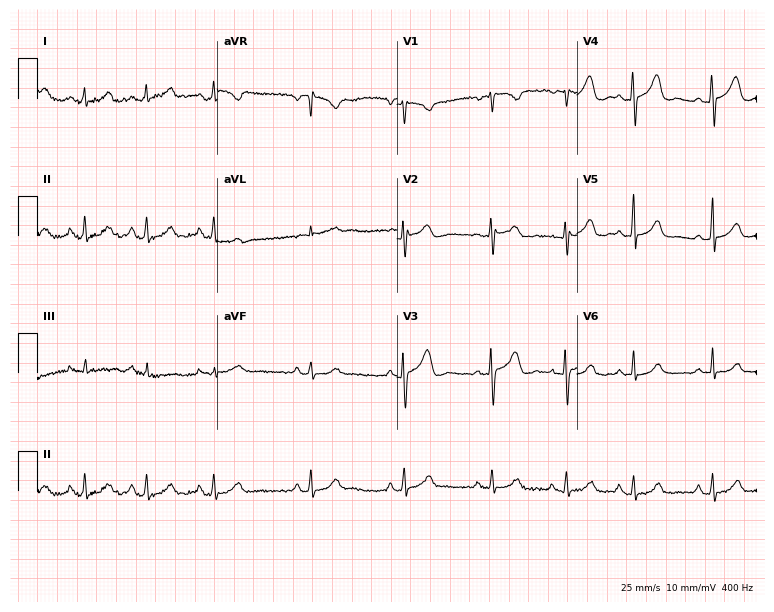
Electrocardiogram, a 19-year-old woman. Of the six screened findings (first-degree AV block, right bundle branch block, left bundle branch block, sinus bradycardia, atrial fibrillation, sinus tachycardia), none is recorded.